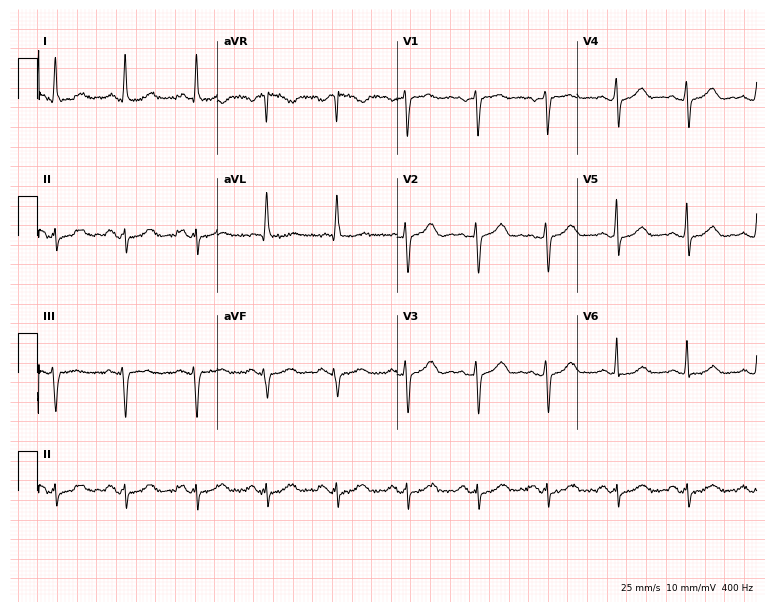
Electrocardiogram (7.3-second recording at 400 Hz), a 56-year-old woman. Of the six screened findings (first-degree AV block, right bundle branch block, left bundle branch block, sinus bradycardia, atrial fibrillation, sinus tachycardia), none is recorded.